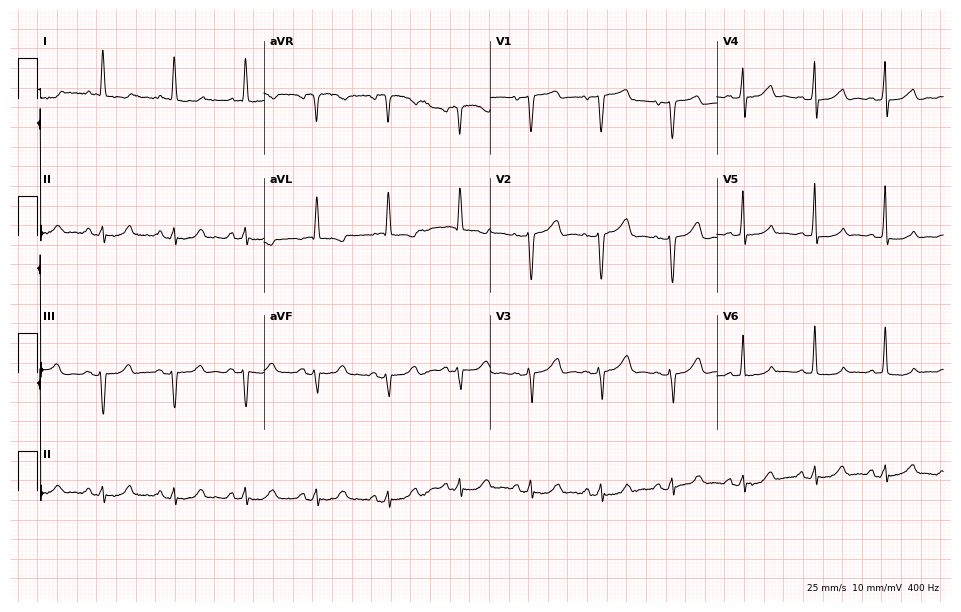
Electrocardiogram, a female patient, 75 years old. Overall reading on record: normal ECG.